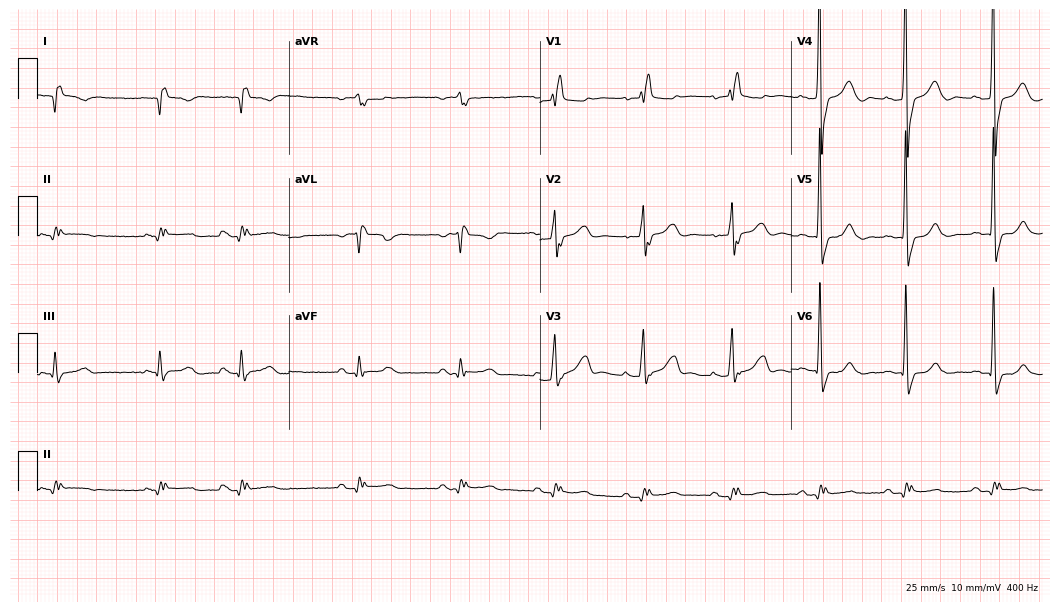
12-lead ECG from a man, 86 years old. No first-degree AV block, right bundle branch block (RBBB), left bundle branch block (LBBB), sinus bradycardia, atrial fibrillation (AF) or sinus tachycardia recorded for this tracing. Findings outside these six are not listed.